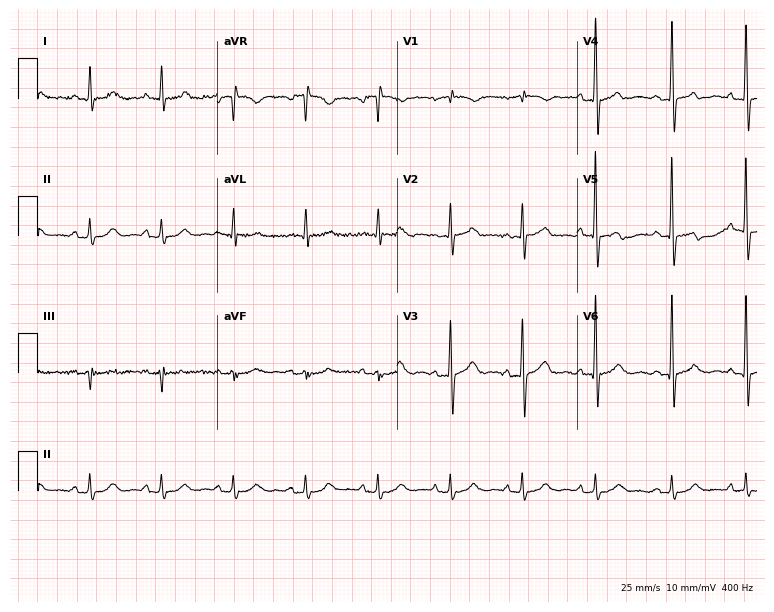
Standard 12-lead ECG recorded from an 80-year-old man. None of these six findings is recorded: first-degree AV block, right bundle branch block, left bundle branch block, sinus bradycardia, atrial fibrillation, sinus tachycardia. Findings outside these six are not listed.